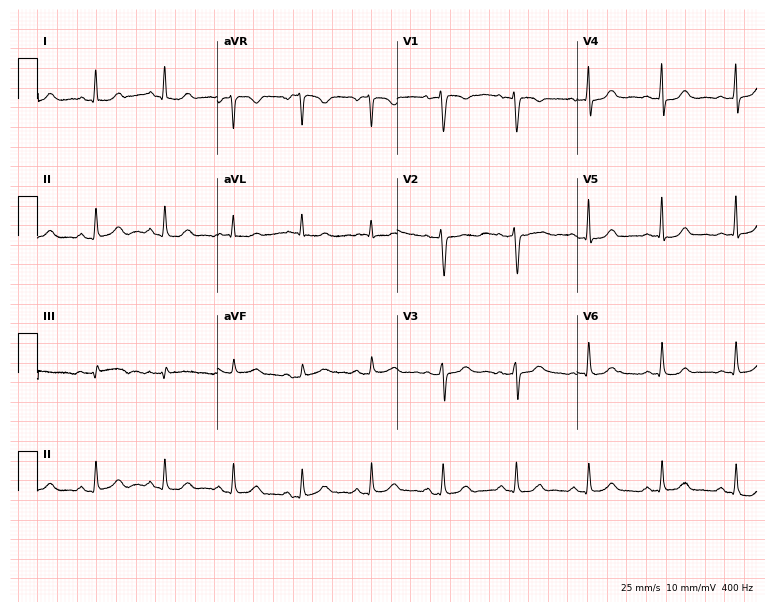
12-lead ECG from a 54-year-old female. Screened for six findings — first-degree AV block, right bundle branch block, left bundle branch block, sinus bradycardia, atrial fibrillation, sinus tachycardia — none is recorded.